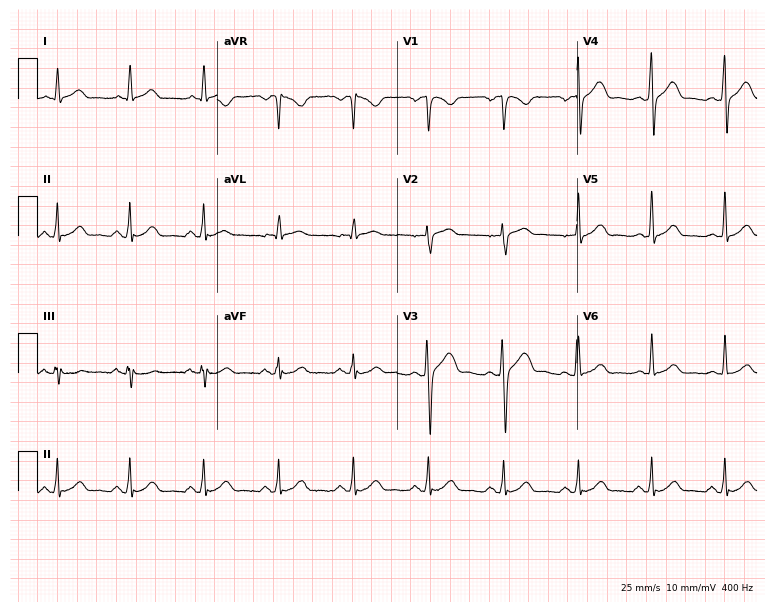
12-lead ECG from a 42-year-old male patient. Labelled as a normal ECG.